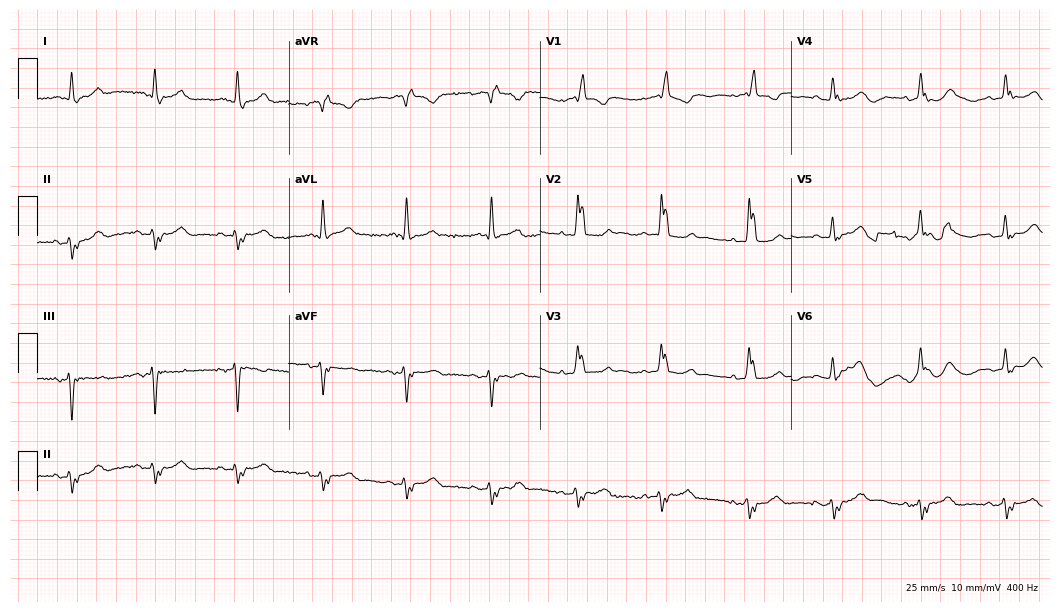
Standard 12-lead ECG recorded from a female patient, 80 years old (10.2-second recording at 400 Hz). None of these six findings is recorded: first-degree AV block, right bundle branch block, left bundle branch block, sinus bradycardia, atrial fibrillation, sinus tachycardia.